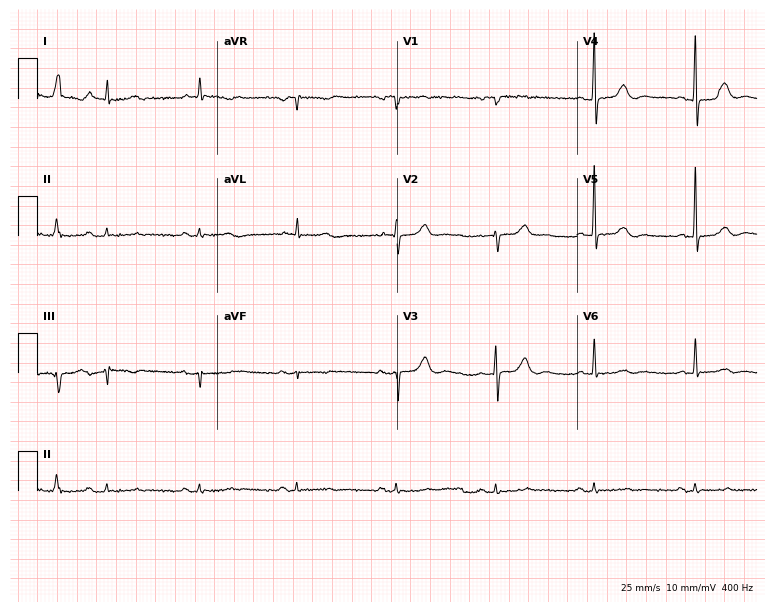
ECG (7.3-second recording at 400 Hz) — an 85-year-old male patient. Labelled as a normal ECG.